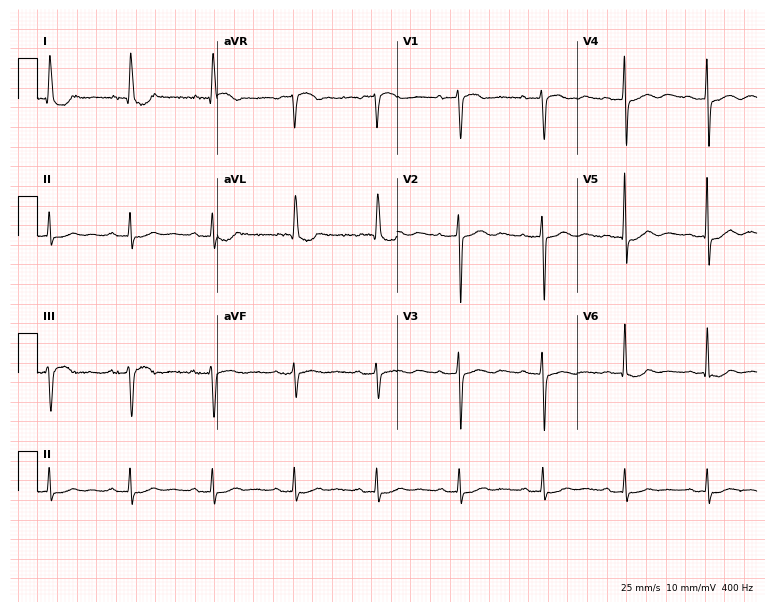
ECG — a woman, 81 years old. Screened for six findings — first-degree AV block, right bundle branch block (RBBB), left bundle branch block (LBBB), sinus bradycardia, atrial fibrillation (AF), sinus tachycardia — none is recorded.